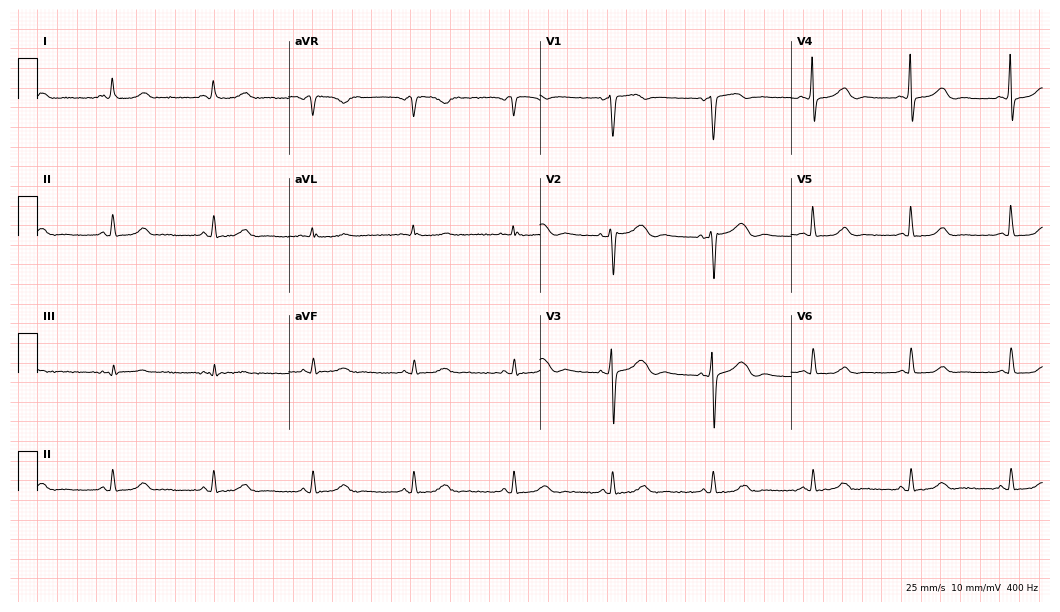
Electrocardiogram, a 50-year-old female patient. Of the six screened findings (first-degree AV block, right bundle branch block, left bundle branch block, sinus bradycardia, atrial fibrillation, sinus tachycardia), none is recorded.